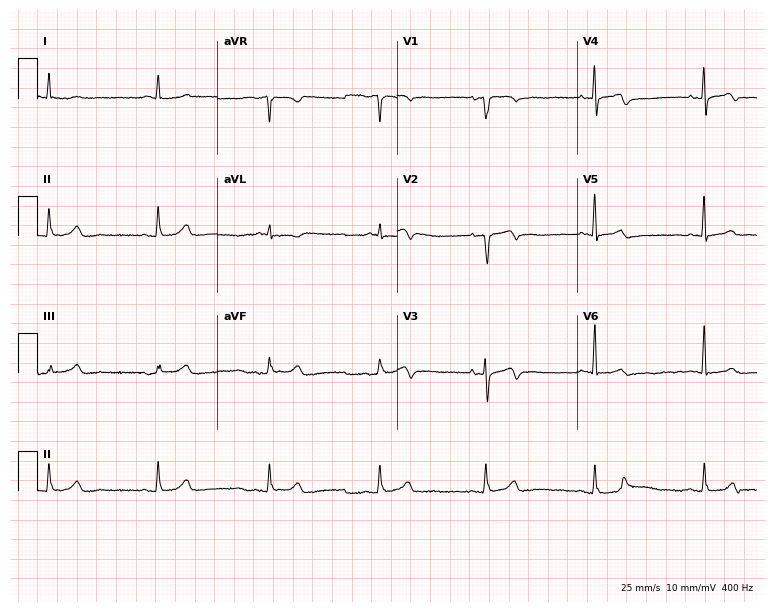
12-lead ECG from a man, 80 years old. Screened for six findings — first-degree AV block, right bundle branch block, left bundle branch block, sinus bradycardia, atrial fibrillation, sinus tachycardia — none is recorded. Only these six findings were labelled.